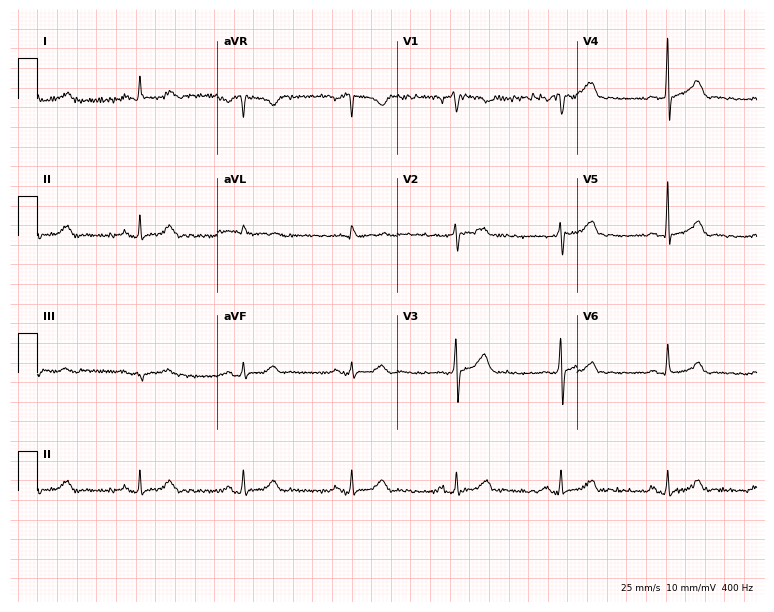
12-lead ECG from a male patient, 50 years old. Recorded interpretation: within normal limits.